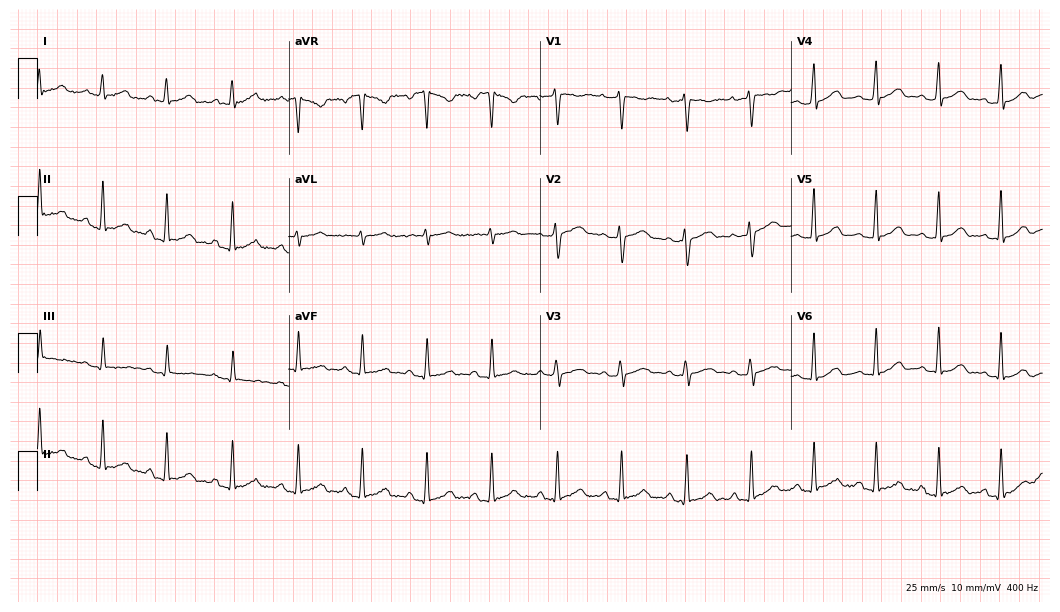
12-lead ECG from a 33-year-old woman. Recorded interpretation: within normal limits.